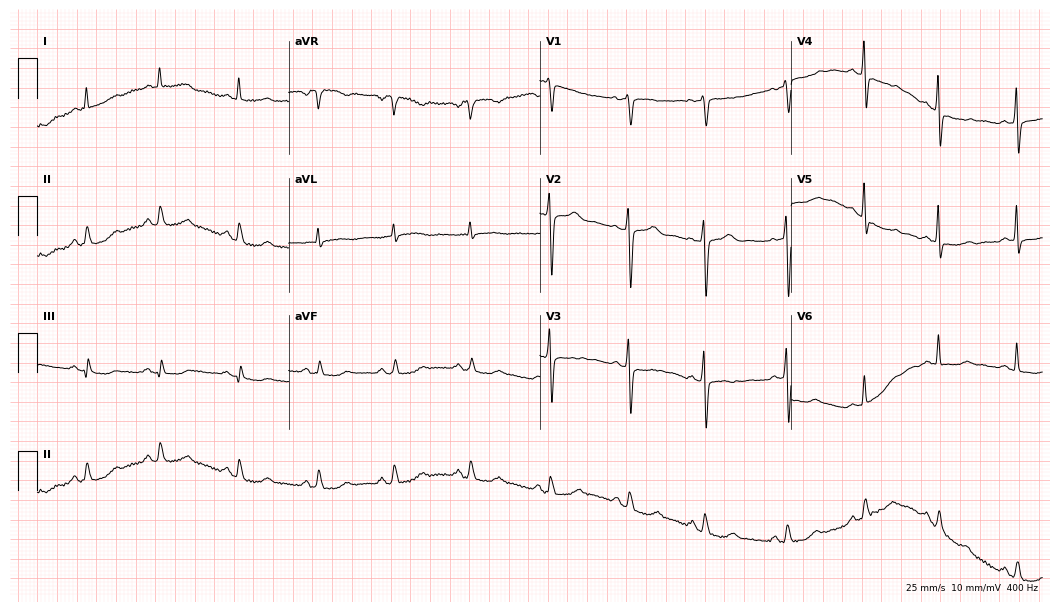
Standard 12-lead ECG recorded from a woman, 63 years old (10.2-second recording at 400 Hz). Read as a normal ECG.